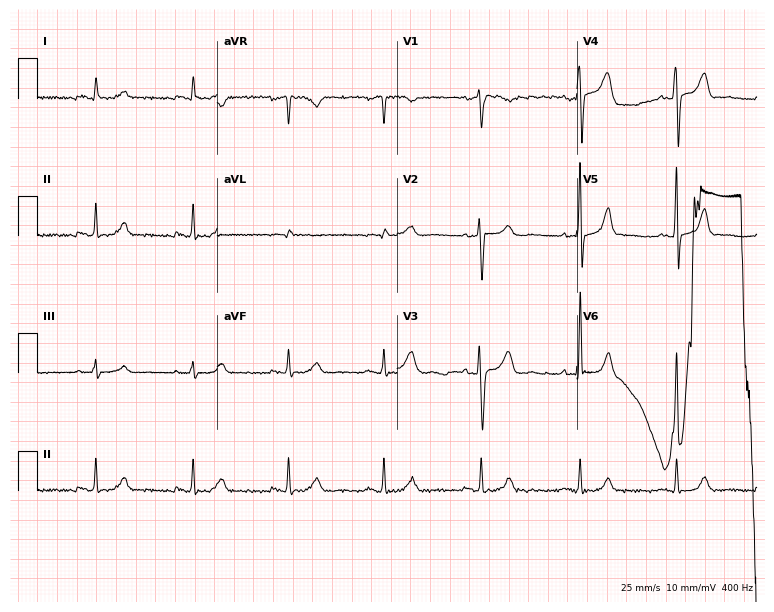
Standard 12-lead ECG recorded from a 77-year-old male patient (7.3-second recording at 400 Hz). None of these six findings is recorded: first-degree AV block, right bundle branch block (RBBB), left bundle branch block (LBBB), sinus bradycardia, atrial fibrillation (AF), sinus tachycardia.